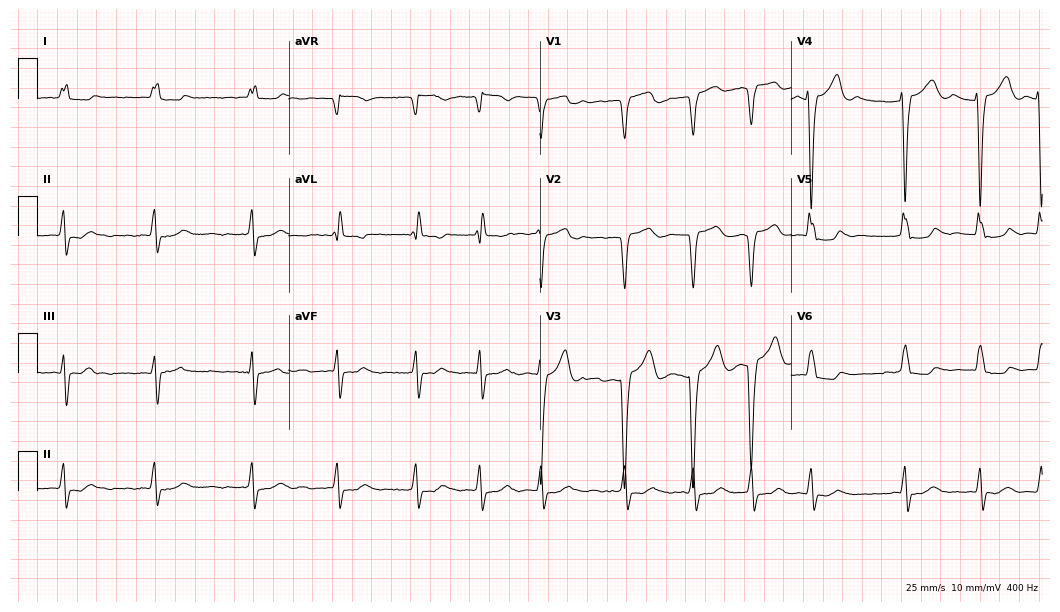
Standard 12-lead ECG recorded from a female, 79 years old (10.2-second recording at 400 Hz). The tracing shows left bundle branch block, atrial fibrillation.